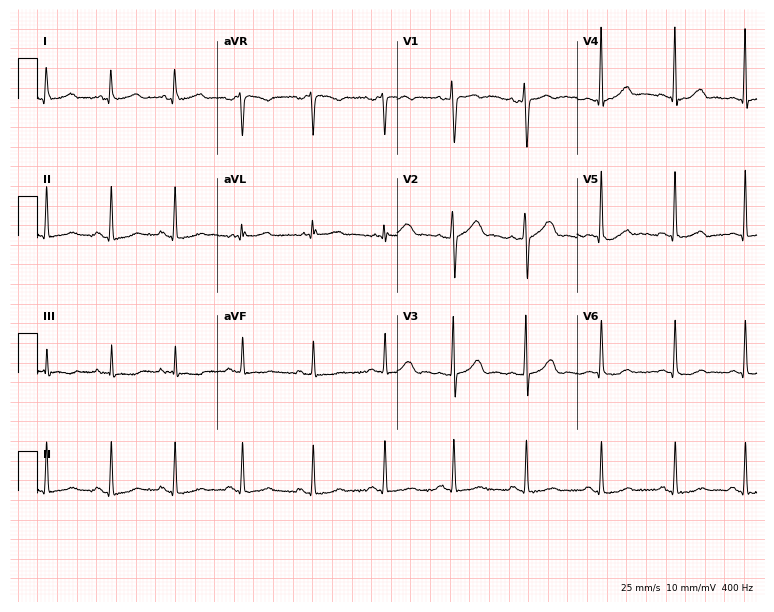
Resting 12-lead electrocardiogram. Patient: a female, 33 years old. None of these six findings is recorded: first-degree AV block, right bundle branch block, left bundle branch block, sinus bradycardia, atrial fibrillation, sinus tachycardia.